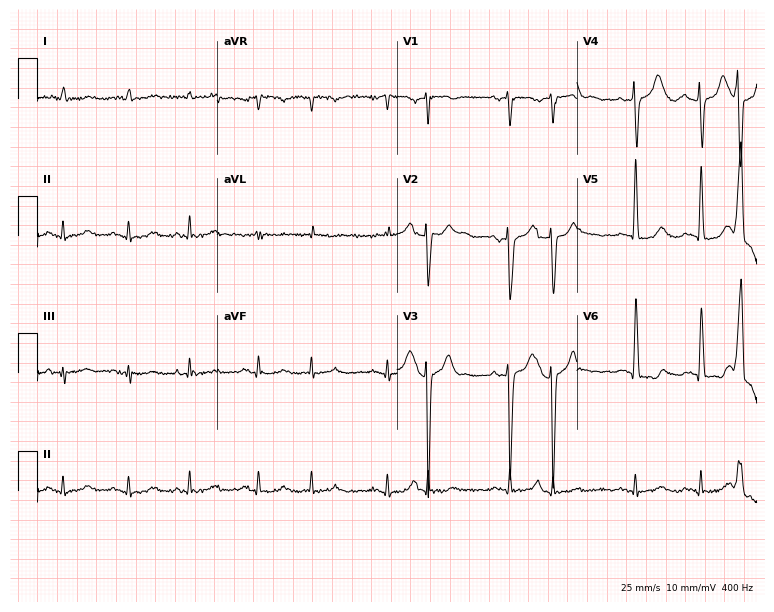
Electrocardiogram (7.3-second recording at 400 Hz), a male, 85 years old. Of the six screened findings (first-degree AV block, right bundle branch block, left bundle branch block, sinus bradycardia, atrial fibrillation, sinus tachycardia), none is recorded. Findings outside these six are not listed.